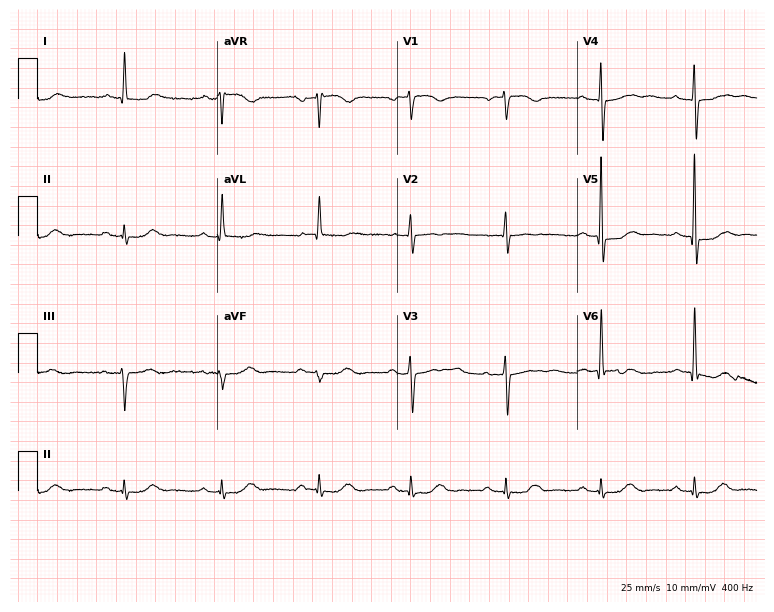
Standard 12-lead ECG recorded from a 71-year-old female (7.3-second recording at 400 Hz). None of these six findings is recorded: first-degree AV block, right bundle branch block, left bundle branch block, sinus bradycardia, atrial fibrillation, sinus tachycardia.